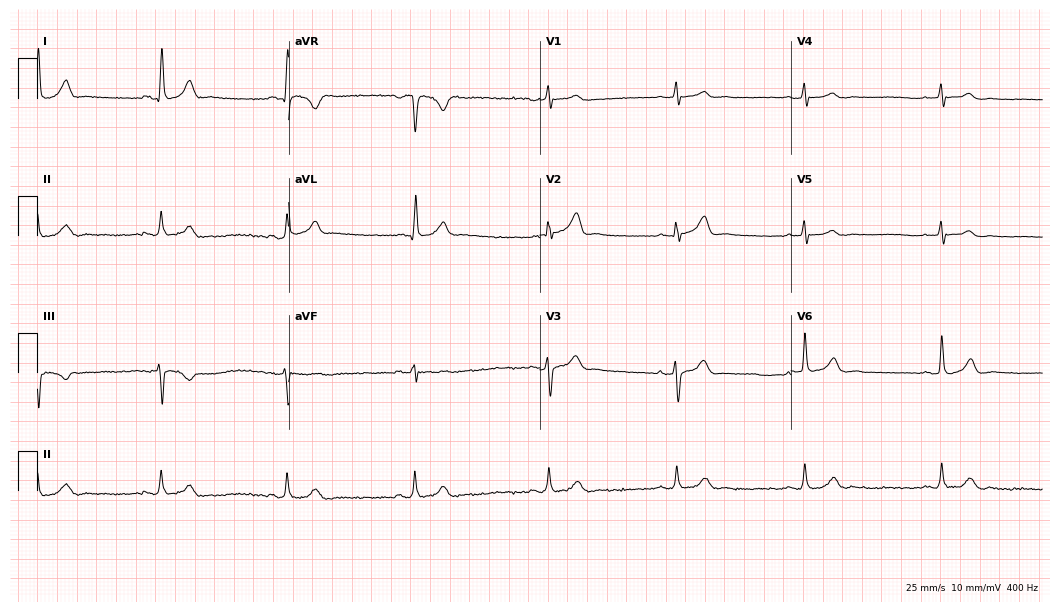
ECG (10.2-second recording at 400 Hz) — a man, 64 years old. Findings include sinus bradycardia (a sinus rate of 50 beats per minute or less).